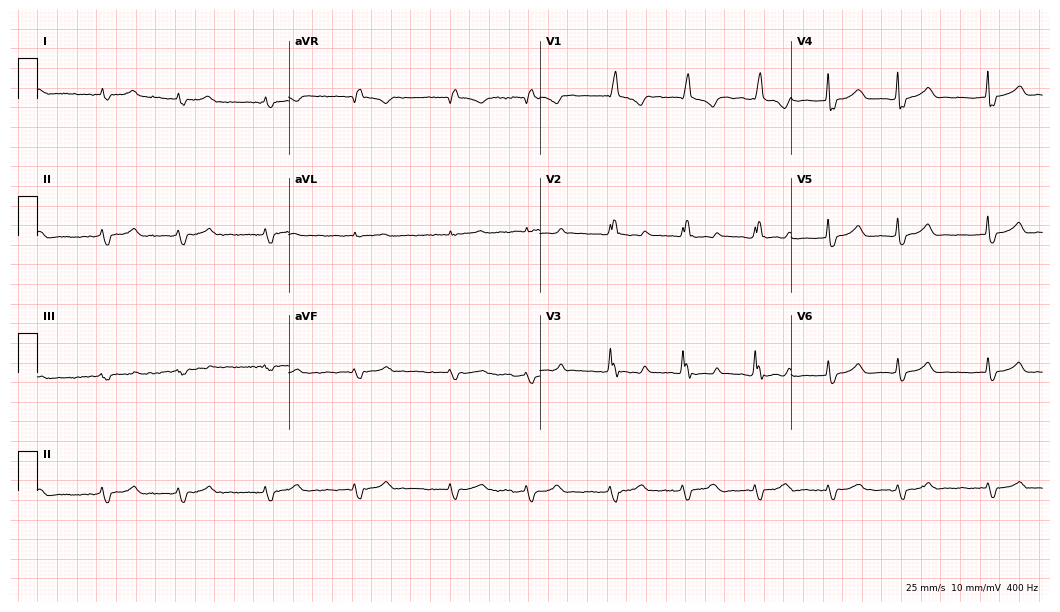
Electrocardiogram, a man, 81 years old. Interpretation includes right bundle branch block, atrial fibrillation.